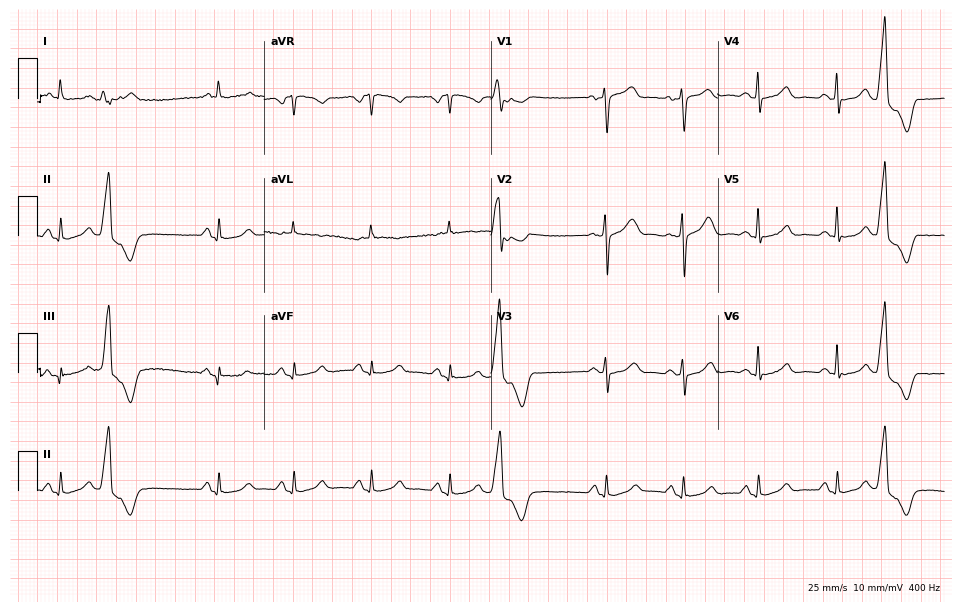
Electrocardiogram, a female, 47 years old. Of the six screened findings (first-degree AV block, right bundle branch block (RBBB), left bundle branch block (LBBB), sinus bradycardia, atrial fibrillation (AF), sinus tachycardia), none is recorded. Other findings, if any, are not listed.